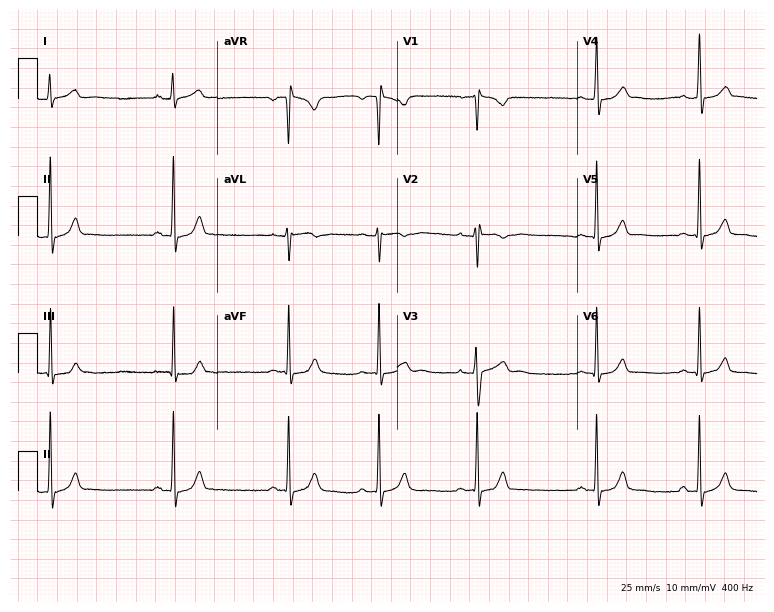
Resting 12-lead electrocardiogram (7.3-second recording at 400 Hz). Patient: a 20-year-old female. None of these six findings is recorded: first-degree AV block, right bundle branch block, left bundle branch block, sinus bradycardia, atrial fibrillation, sinus tachycardia.